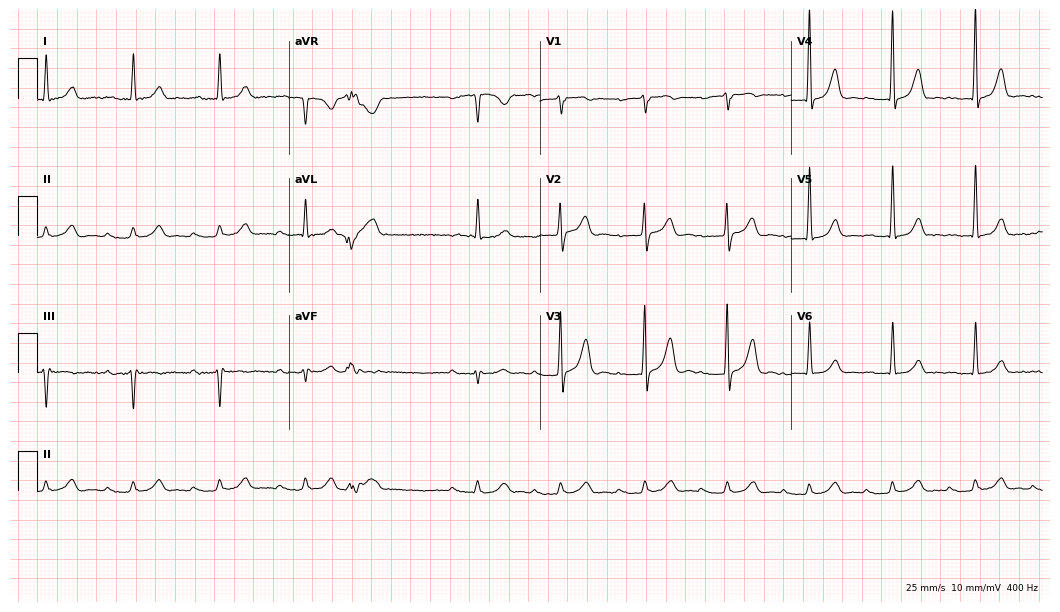
12-lead ECG (10.2-second recording at 400 Hz) from an 84-year-old man. Screened for six findings — first-degree AV block, right bundle branch block, left bundle branch block, sinus bradycardia, atrial fibrillation, sinus tachycardia — none is recorded. Findings outside these six are not listed.